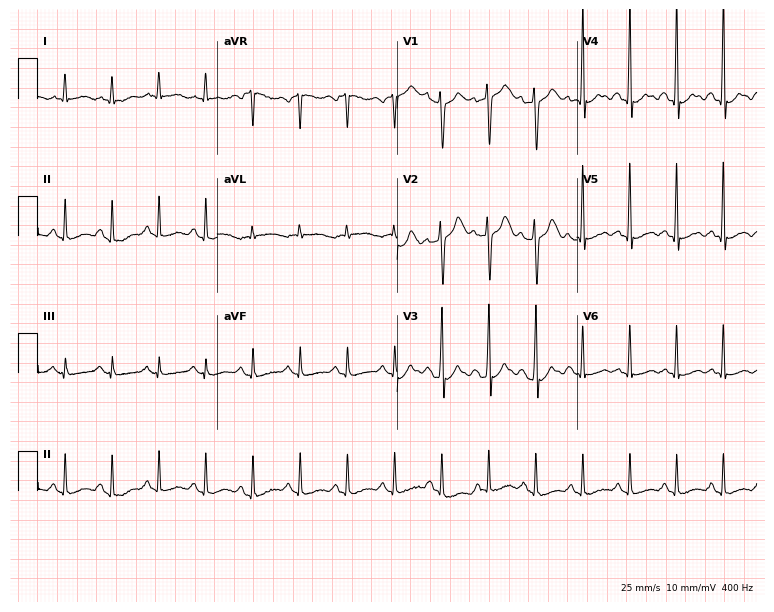
12-lead ECG from a man, 50 years old. Findings include sinus tachycardia (a sinus rate of 100 beats per minute or more).